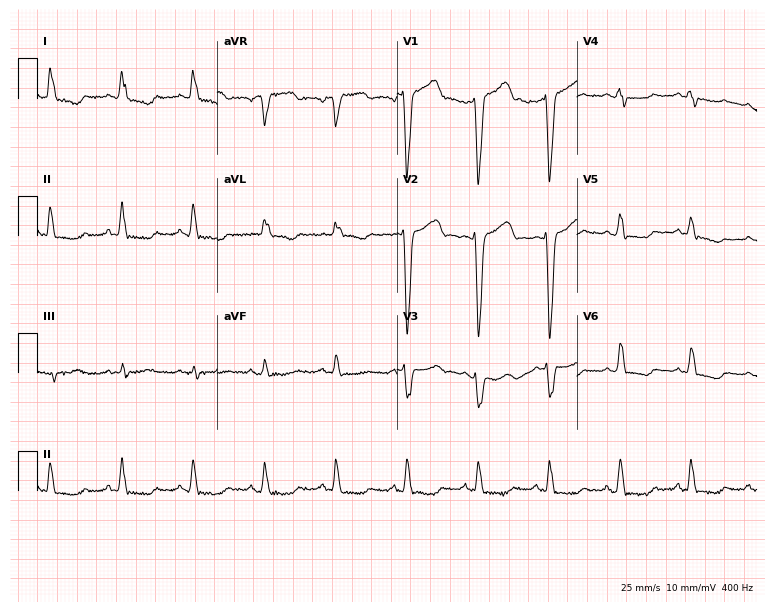
Electrocardiogram, a female, 77 years old. Interpretation includes left bundle branch block.